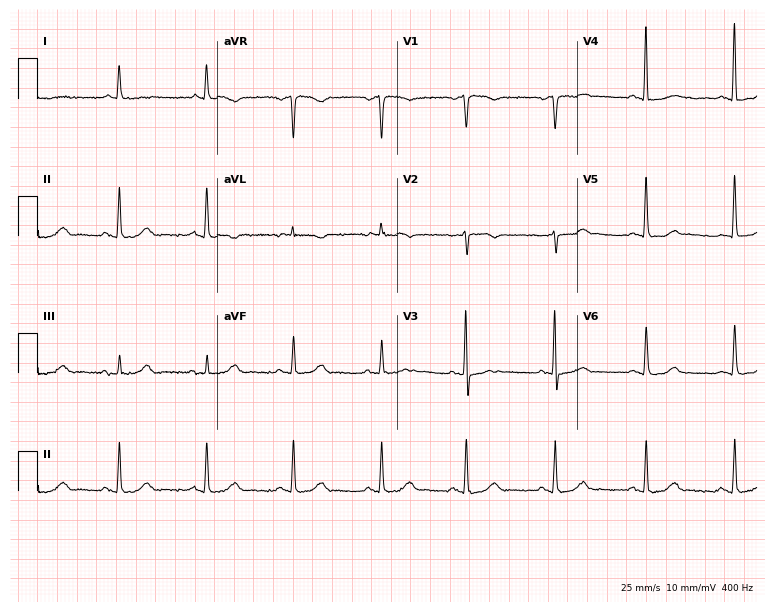
12-lead ECG from a female, 81 years old (7.3-second recording at 400 Hz). No first-degree AV block, right bundle branch block (RBBB), left bundle branch block (LBBB), sinus bradycardia, atrial fibrillation (AF) or sinus tachycardia recorded for this tracing.